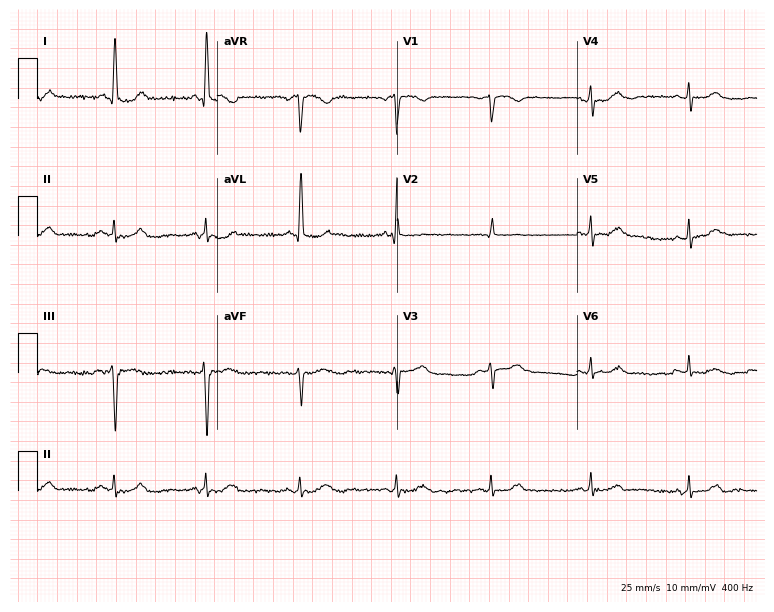
Standard 12-lead ECG recorded from a 73-year-old woman (7.3-second recording at 400 Hz). None of these six findings is recorded: first-degree AV block, right bundle branch block (RBBB), left bundle branch block (LBBB), sinus bradycardia, atrial fibrillation (AF), sinus tachycardia.